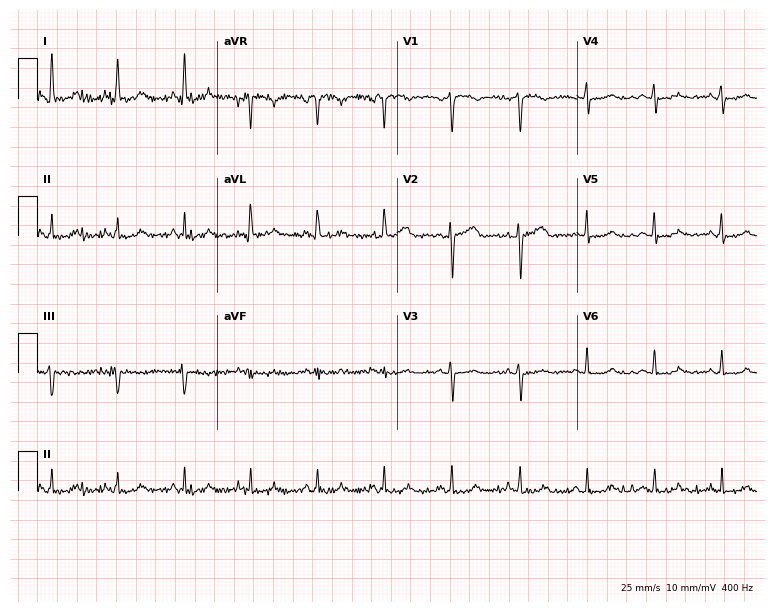
Resting 12-lead electrocardiogram. Patient: a female, 66 years old. Read as a normal ECG.